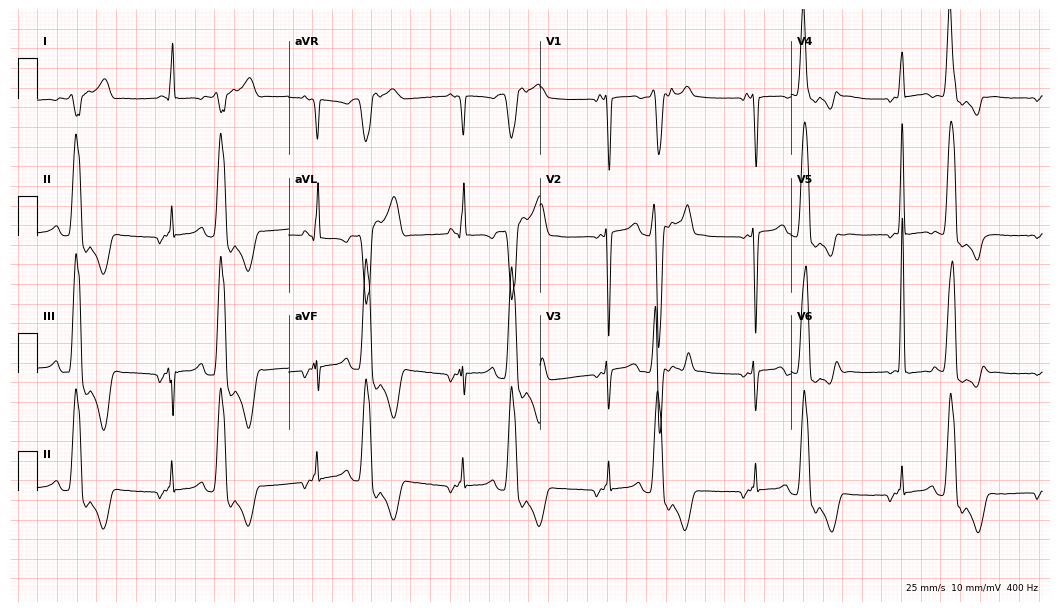
Electrocardiogram, a 42-year-old female. Of the six screened findings (first-degree AV block, right bundle branch block, left bundle branch block, sinus bradycardia, atrial fibrillation, sinus tachycardia), none is recorded. Only these six findings were labelled.